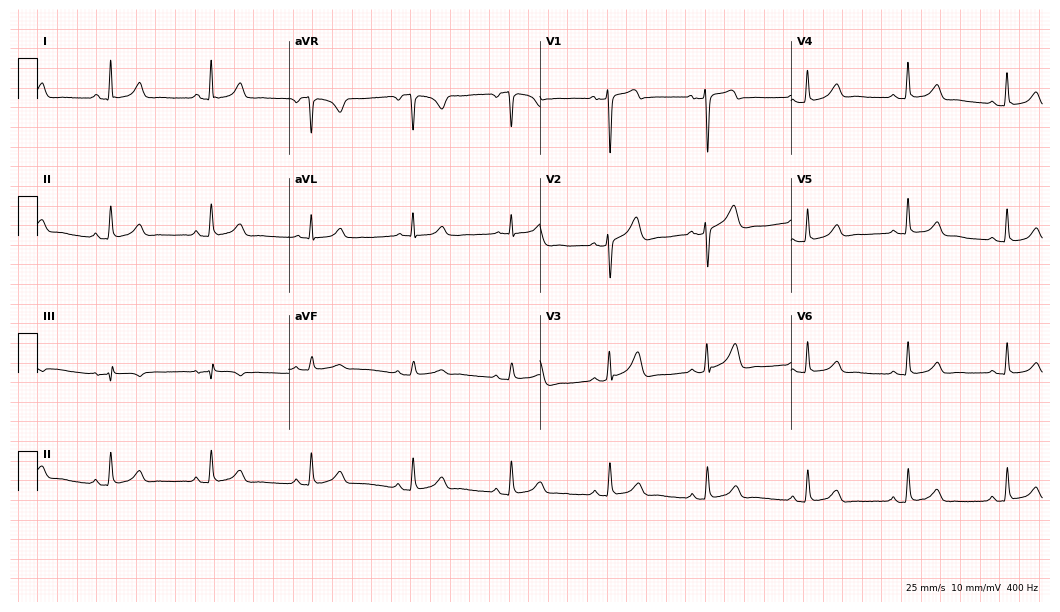
Resting 12-lead electrocardiogram. Patient: a 56-year-old female. Read as a normal ECG.